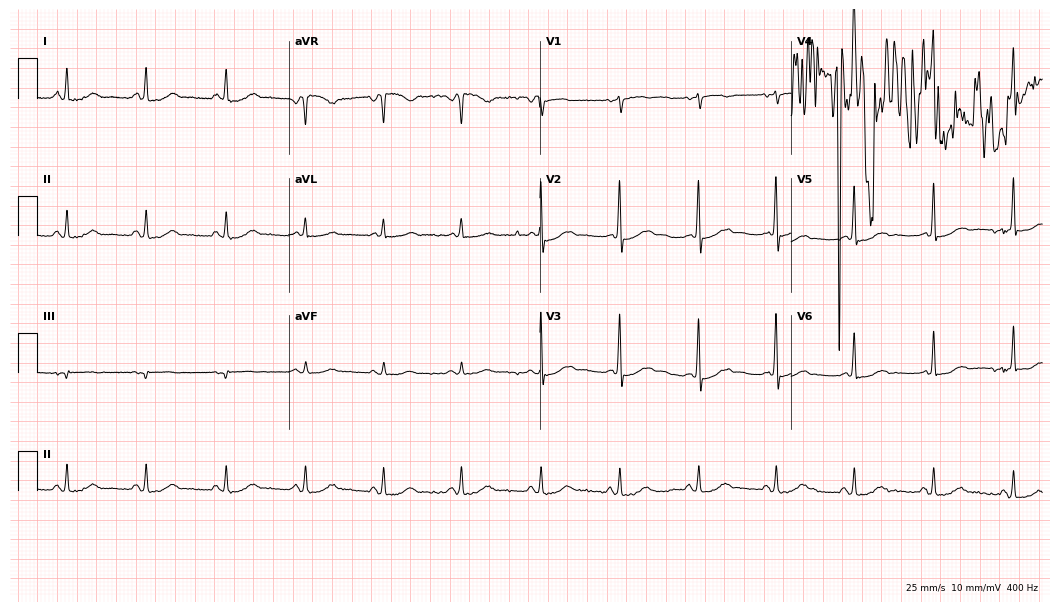
Standard 12-lead ECG recorded from a 65-year-old female patient. None of these six findings is recorded: first-degree AV block, right bundle branch block (RBBB), left bundle branch block (LBBB), sinus bradycardia, atrial fibrillation (AF), sinus tachycardia. Other findings, if any, are not listed.